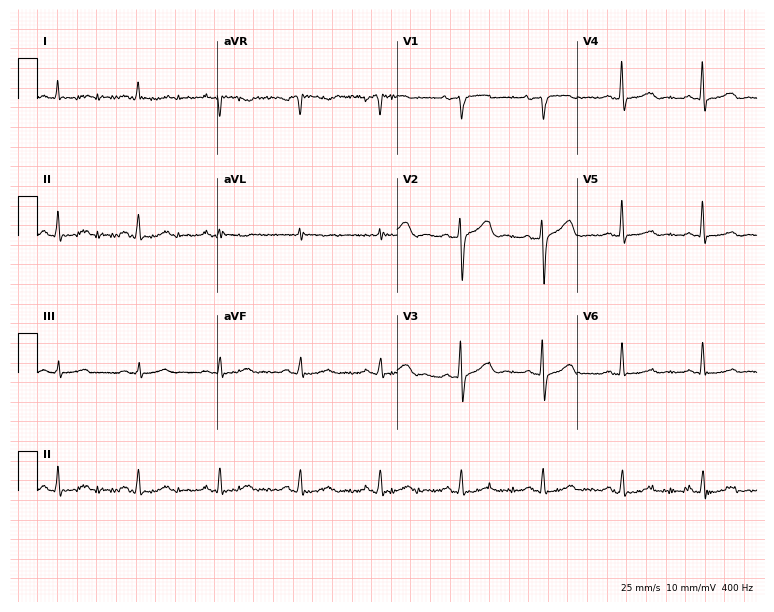
Standard 12-lead ECG recorded from a female, 68 years old (7.3-second recording at 400 Hz). Read as a normal ECG.